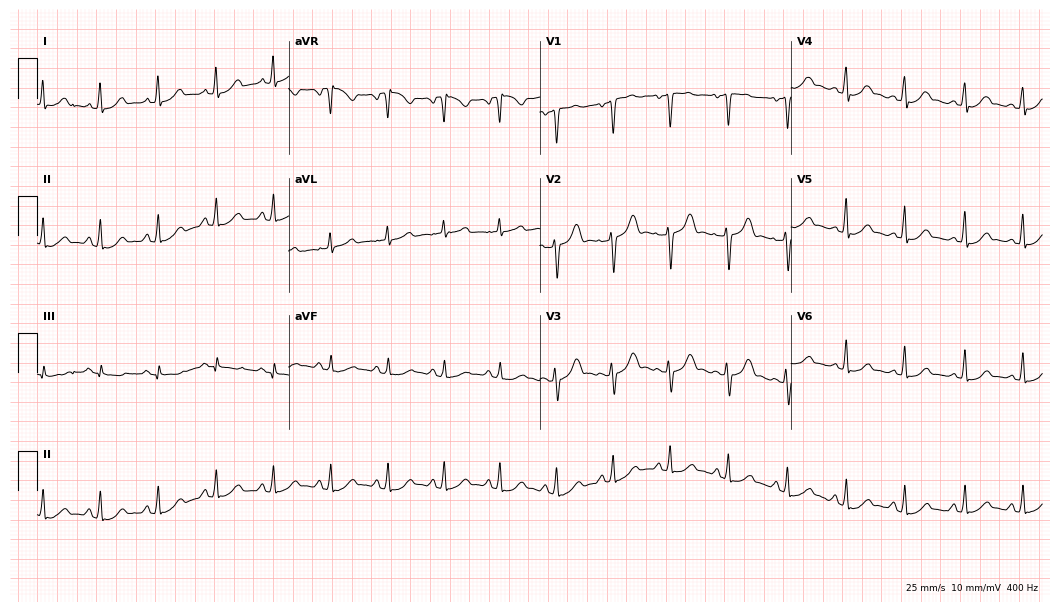
Resting 12-lead electrocardiogram. Patient: a female, 41 years old. The tracing shows sinus tachycardia (a sinus rate of 100 beats per minute or more).